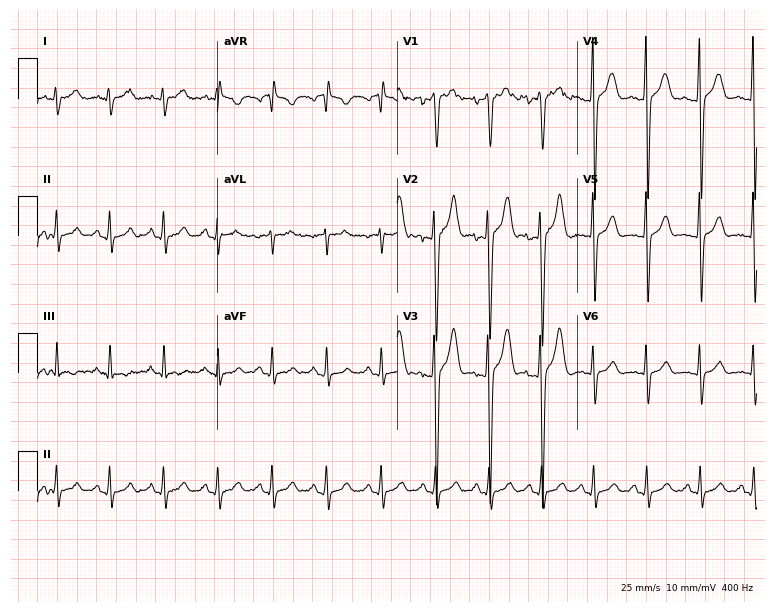
Resting 12-lead electrocardiogram. Patient: a 29-year-old man. The tracing shows sinus tachycardia (a sinus rate of 100 beats per minute or more).